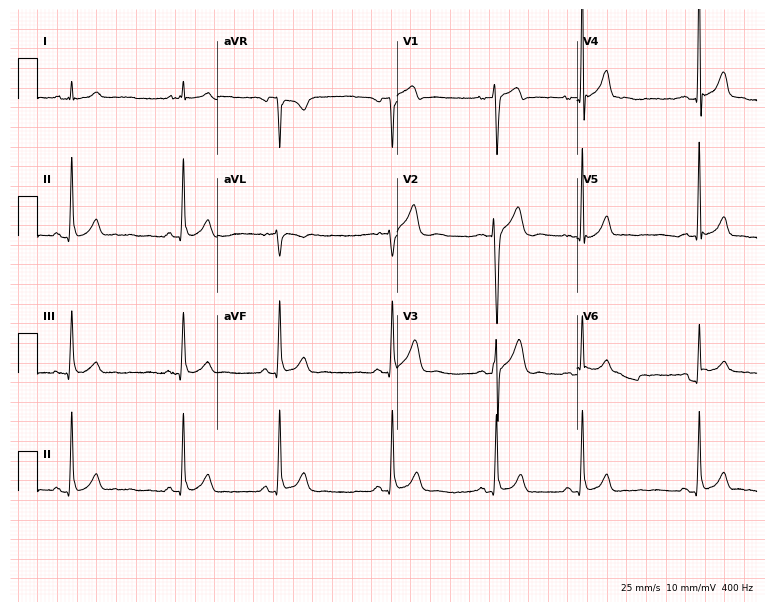
ECG — a male patient, 17 years old. Labelled as a normal ECG.